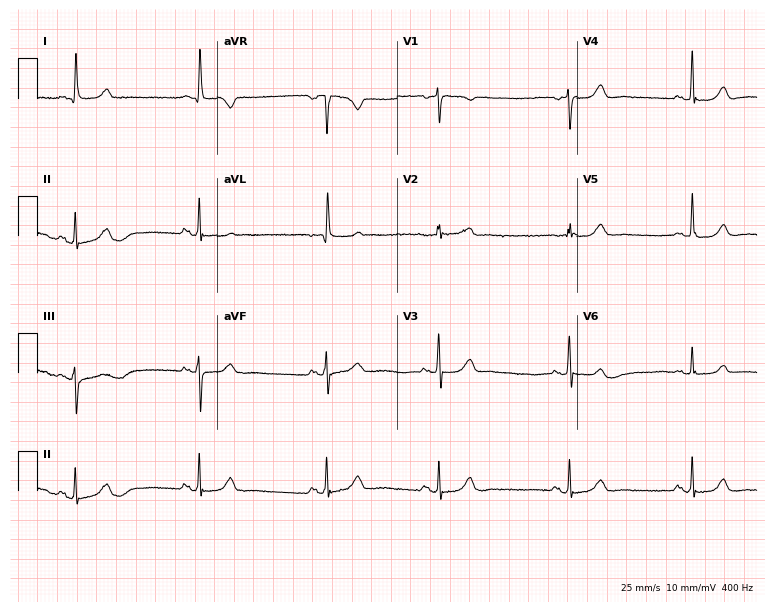
ECG — a female patient, 76 years old. Findings include sinus bradycardia (a sinus rate of 50 beats per minute or less).